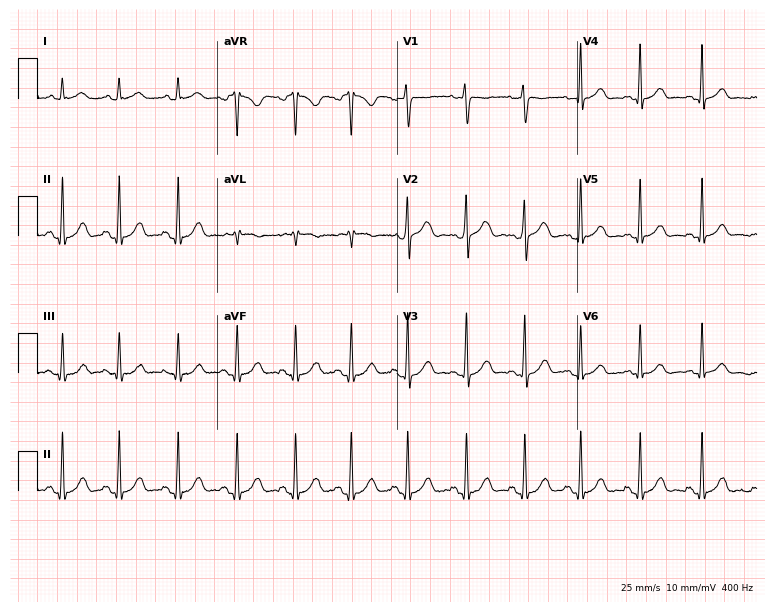
12-lead ECG from a woman, 21 years old. Shows sinus tachycardia (a sinus rate of 100 beats per minute or more).